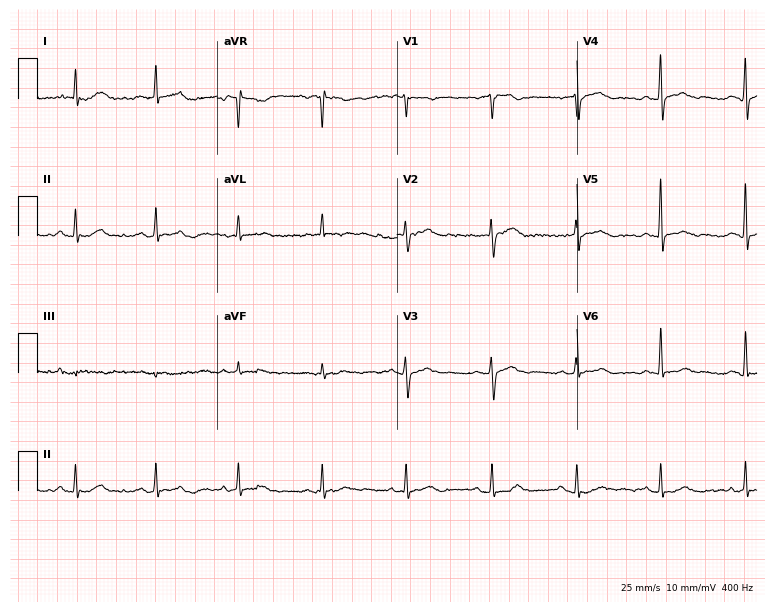
12-lead ECG (7.3-second recording at 400 Hz) from a woman, 59 years old. Labelled as a normal ECG.